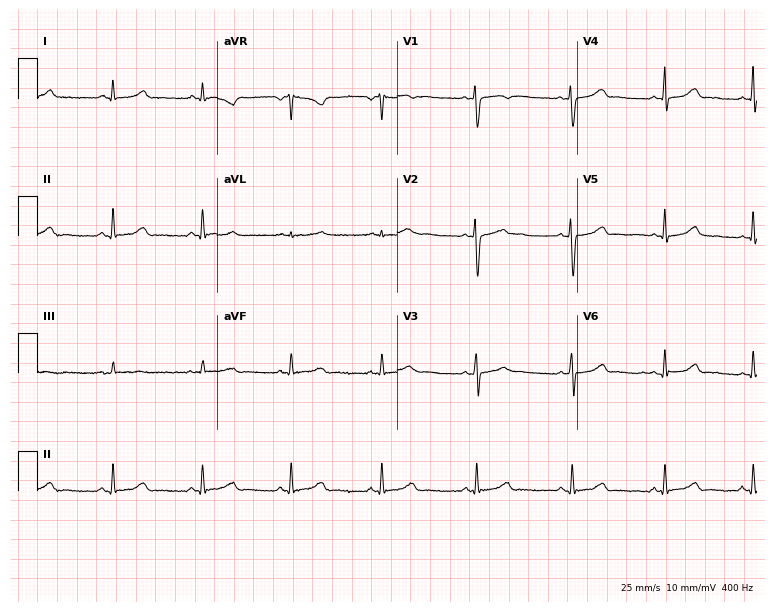
12-lead ECG (7.3-second recording at 400 Hz) from a 17-year-old female. Labelled as a normal ECG.